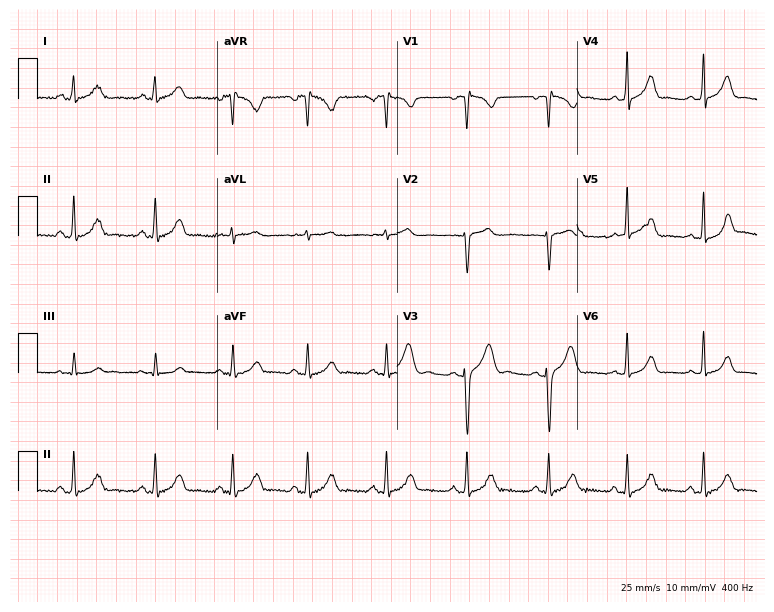
Electrocardiogram, a female, 25 years old. Overall reading on record: normal ECG.